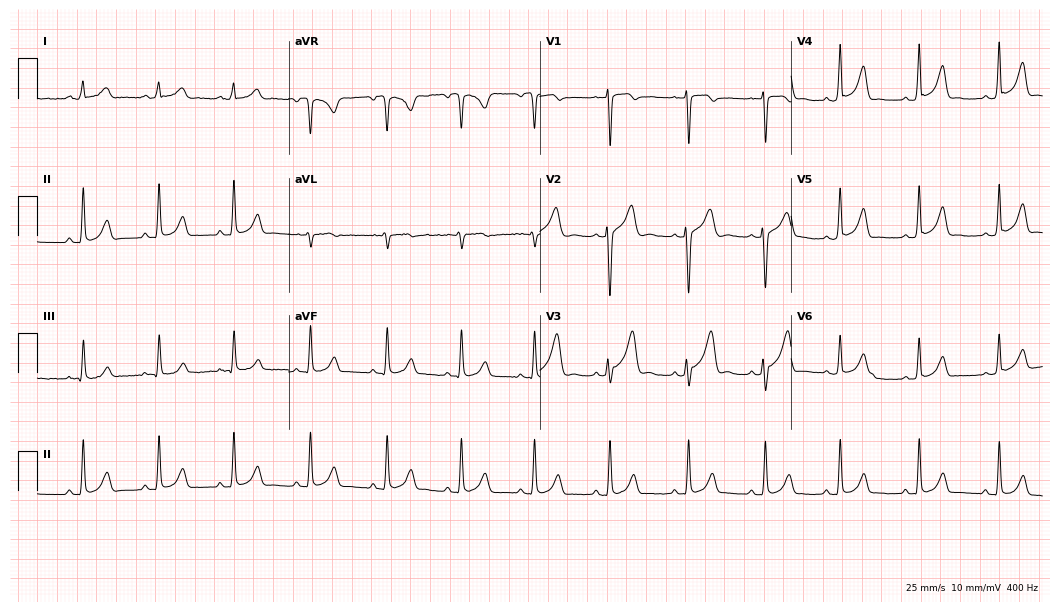
Resting 12-lead electrocardiogram. Patient: a 19-year-old female. Read as a normal ECG.